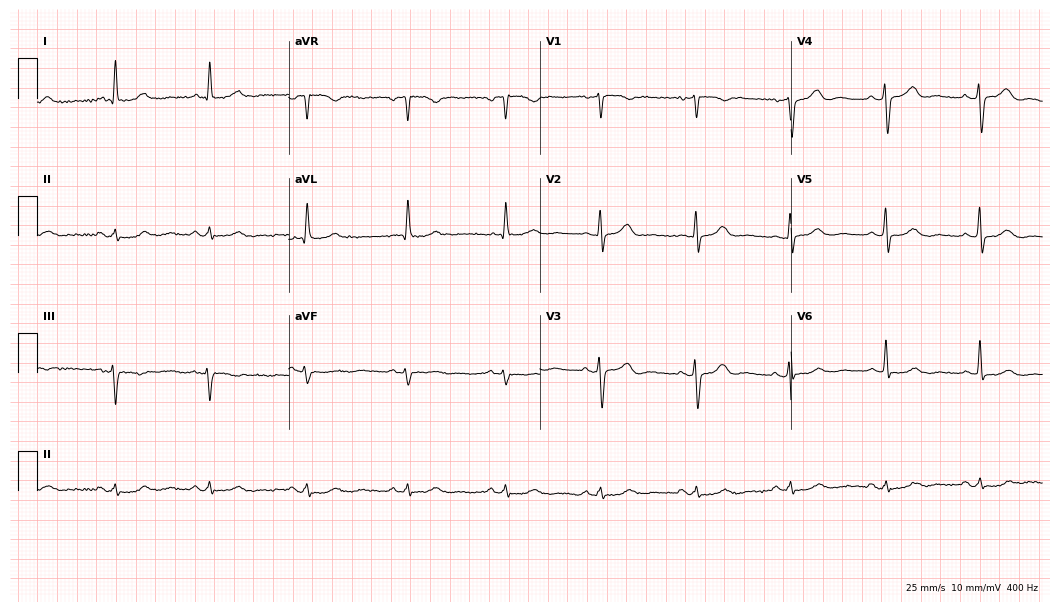
Standard 12-lead ECG recorded from a male, 81 years old (10.2-second recording at 400 Hz). Read as a normal ECG.